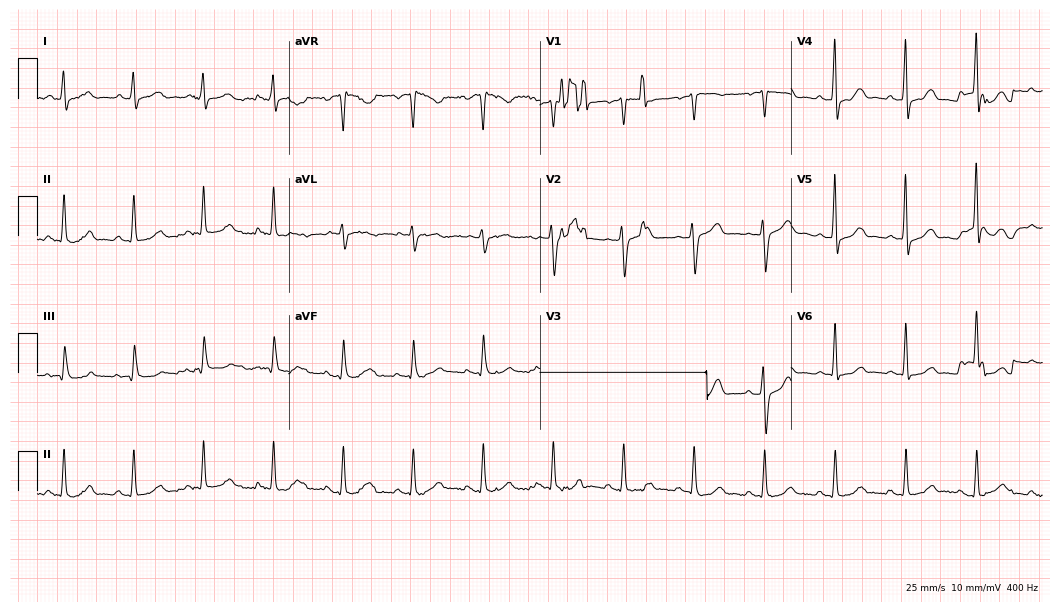
12-lead ECG from a male, 58 years old. Labelled as a normal ECG.